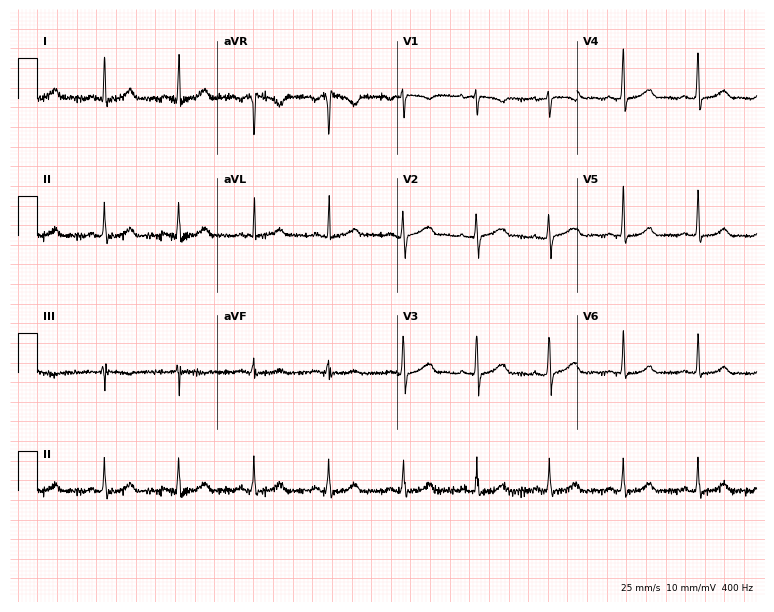
Electrocardiogram, a 42-year-old female patient. Of the six screened findings (first-degree AV block, right bundle branch block, left bundle branch block, sinus bradycardia, atrial fibrillation, sinus tachycardia), none is recorded. Findings outside these six are not listed.